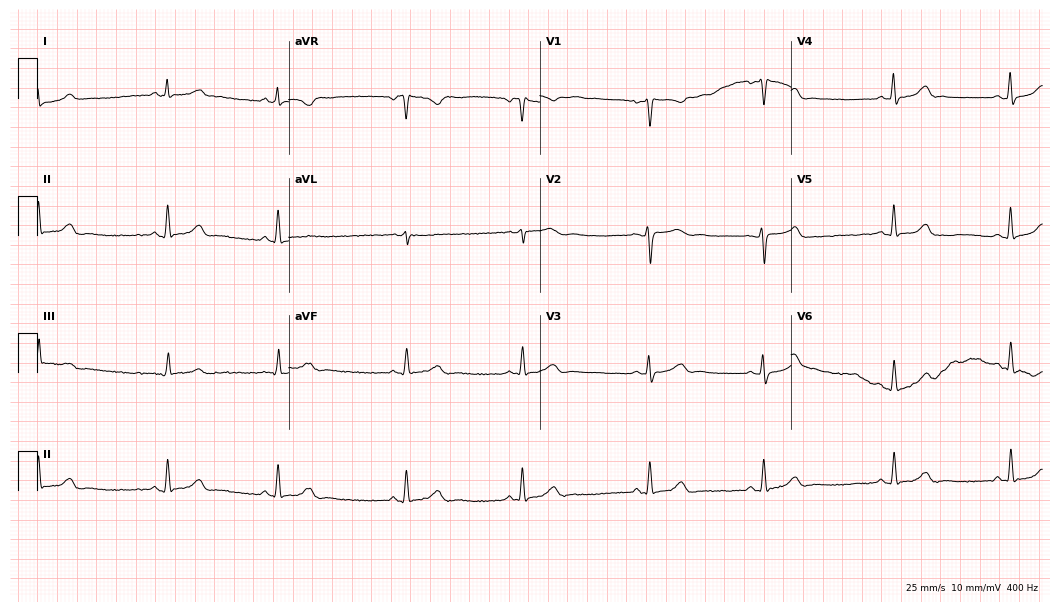
12-lead ECG from a female, 23 years old. Labelled as a normal ECG.